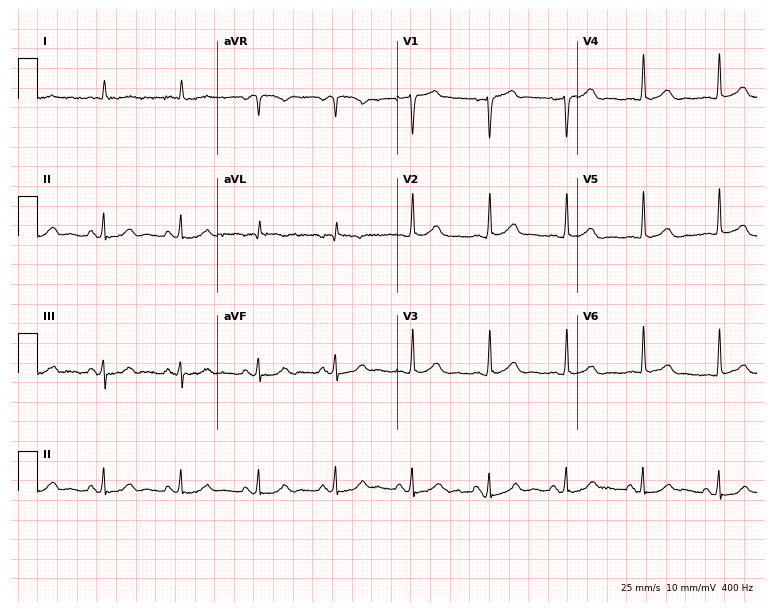
ECG (7.3-second recording at 400 Hz) — a man, 79 years old. Screened for six findings — first-degree AV block, right bundle branch block (RBBB), left bundle branch block (LBBB), sinus bradycardia, atrial fibrillation (AF), sinus tachycardia — none is recorded.